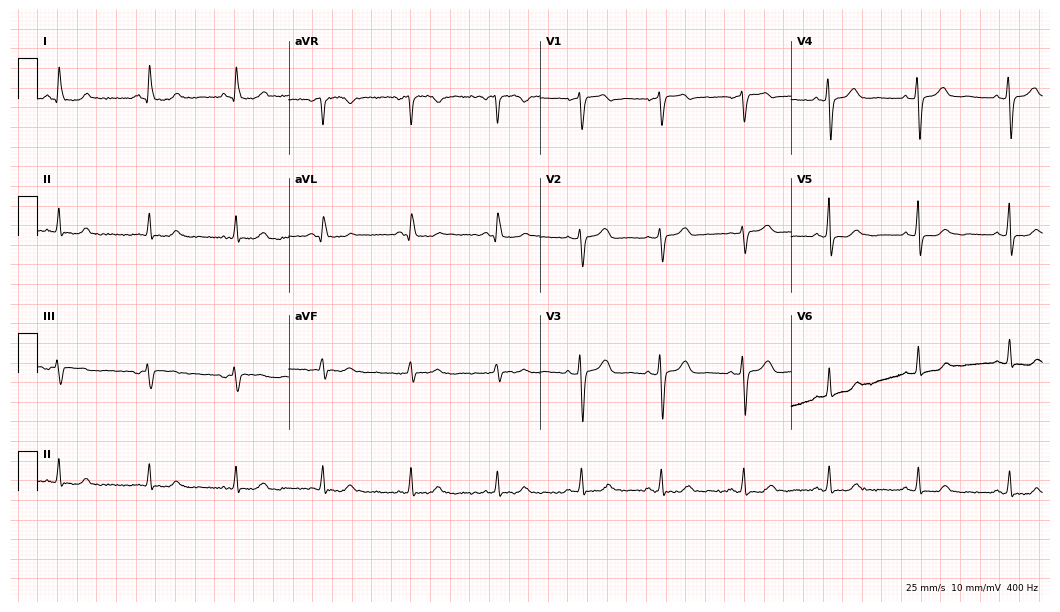
ECG — a 52-year-old female. Labelled as a normal ECG.